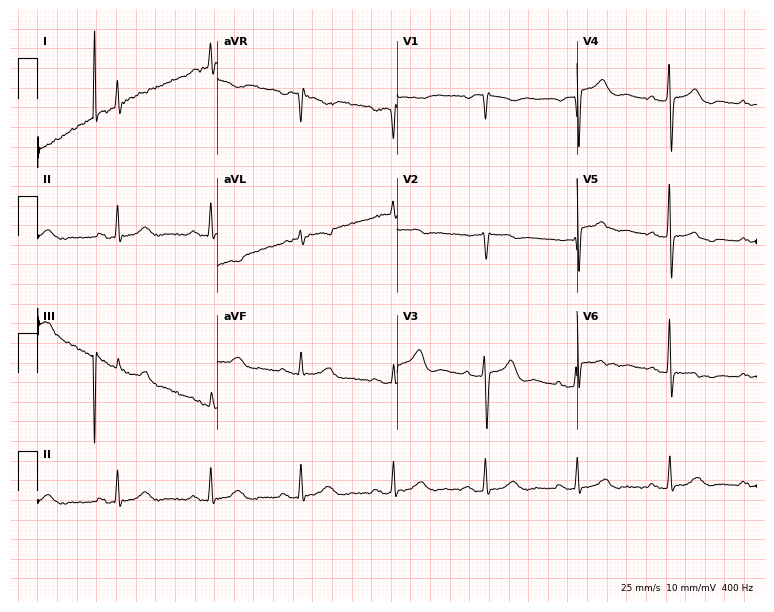
Electrocardiogram, a woman, 68 years old. Interpretation includes first-degree AV block.